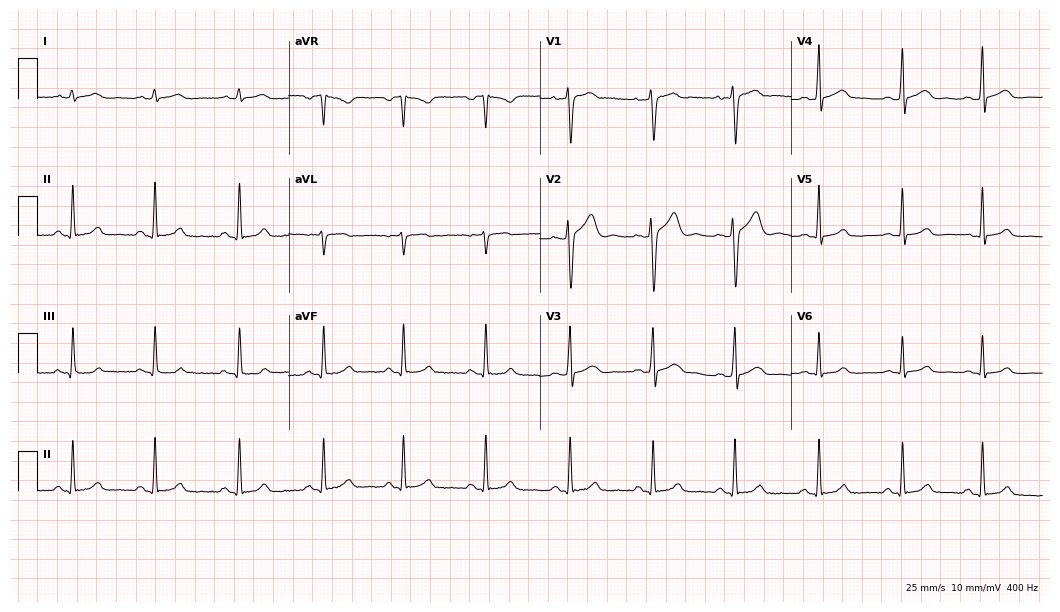
Electrocardiogram, a male patient, 26 years old. Overall reading on record: normal ECG.